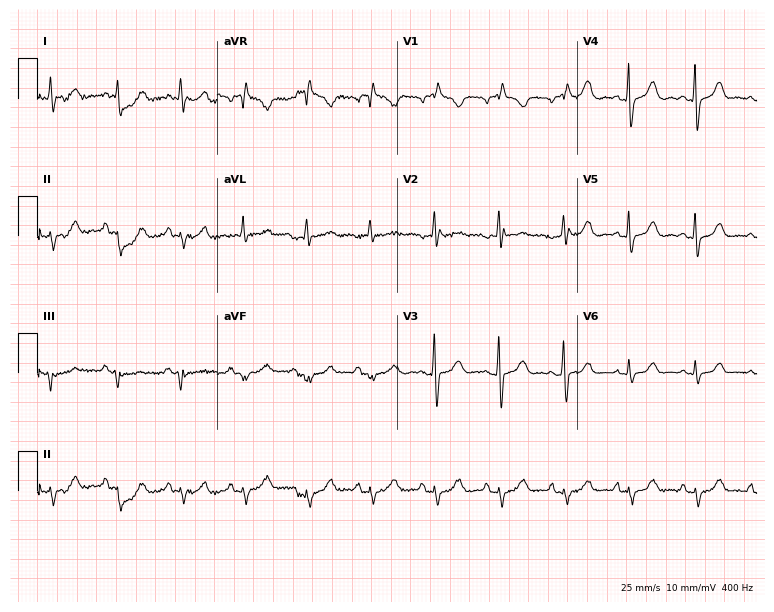
12-lead ECG from a female, 75 years old. Screened for six findings — first-degree AV block, right bundle branch block, left bundle branch block, sinus bradycardia, atrial fibrillation, sinus tachycardia — none is recorded. Only these six findings were labelled.